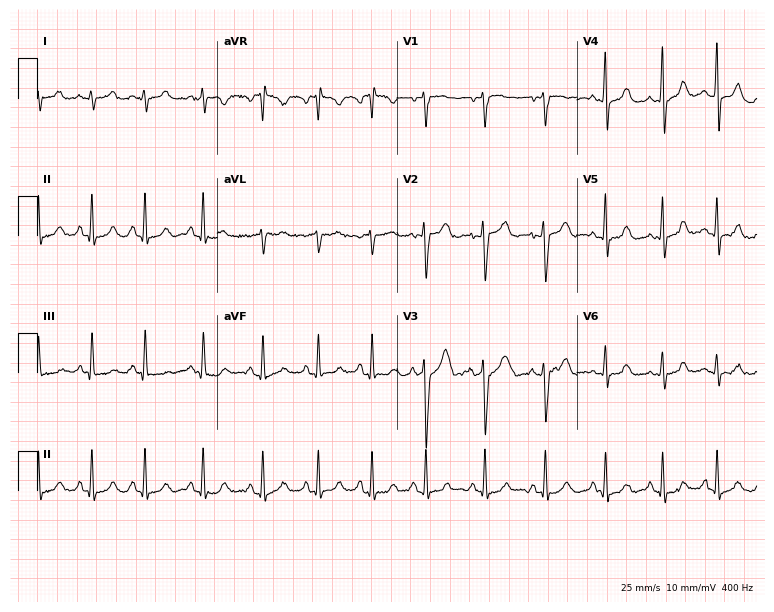
12-lead ECG from a woman, 19 years old (7.3-second recording at 400 Hz). Shows sinus tachycardia (a sinus rate of 100 beats per minute or more).